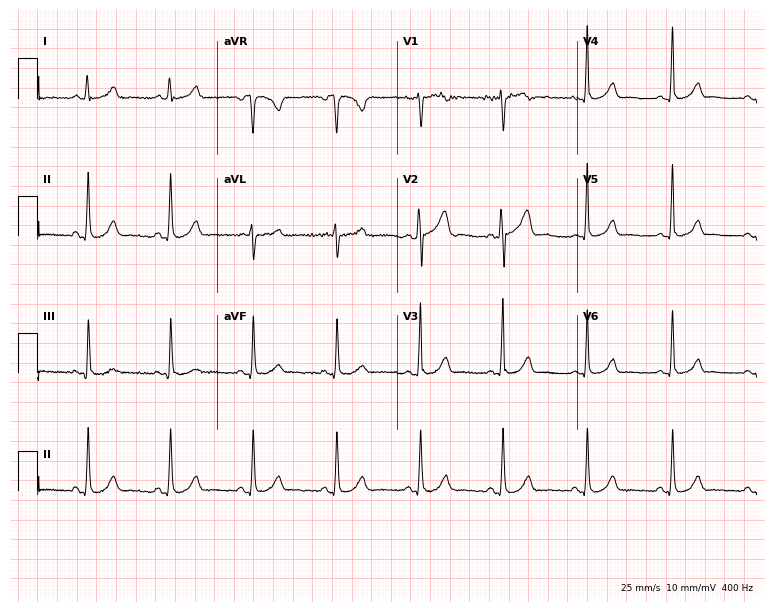
12-lead ECG (7.3-second recording at 400 Hz) from a female, 29 years old. Labelled as a normal ECG.